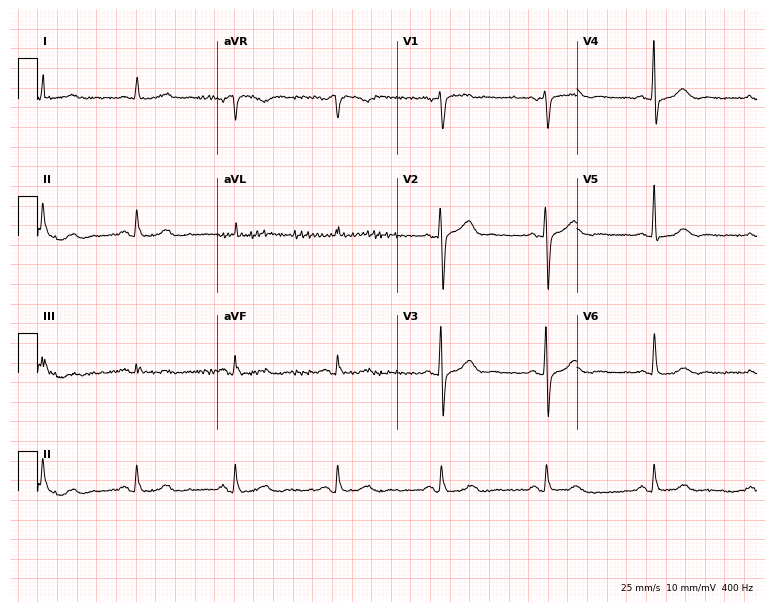
Electrocardiogram, a male patient, 78 years old. Of the six screened findings (first-degree AV block, right bundle branch block, left bundle branch block, sinus bradycardia, atrial fibrillation, sinus tachycardia), none is recorded.